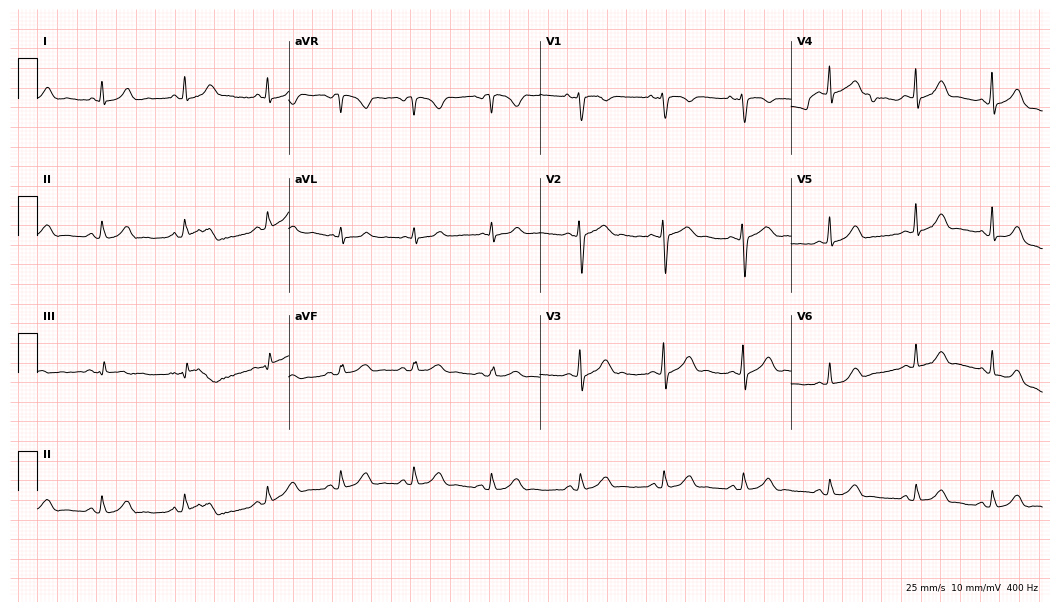
ECG (10.2-second recording at 400 Hz) — a 22-year-old female. Labelled as a normal ECG.